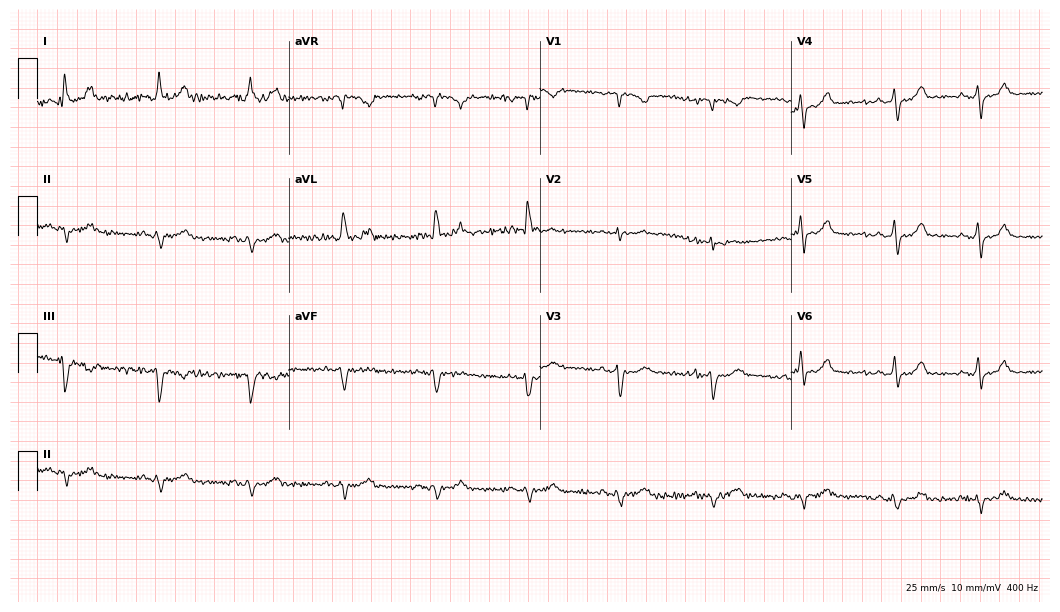
12-lead ECG (10.2-second recording at 400 Hz) from a 69-year-old female patient. Screened for six findings — first-degree AV block, right bundle branch block, left bundle branch block, sinus bradycardia, atrial fibrillation, sinus tachycardia — none is recorded.